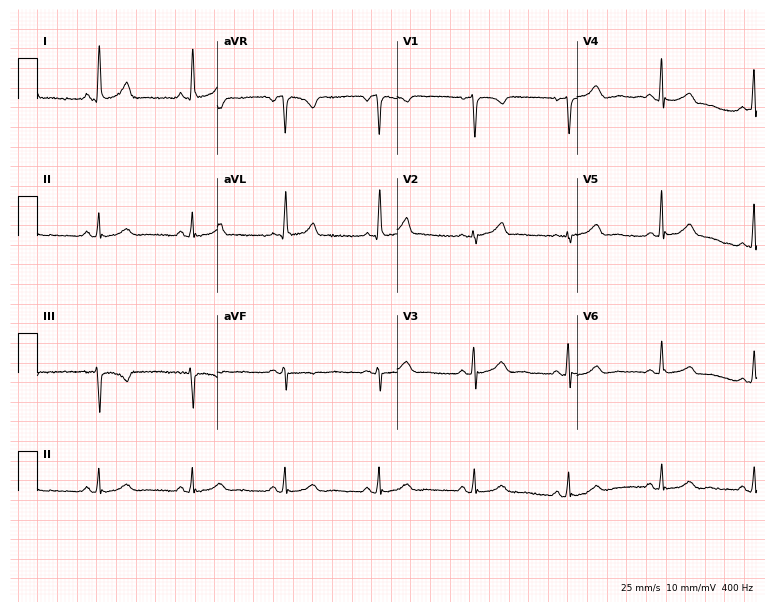
Resting 12-lead electrocardiogram (7.3-second recording at 400 Hz). Patient: a 64-year-old female. Read as a normal ECG.